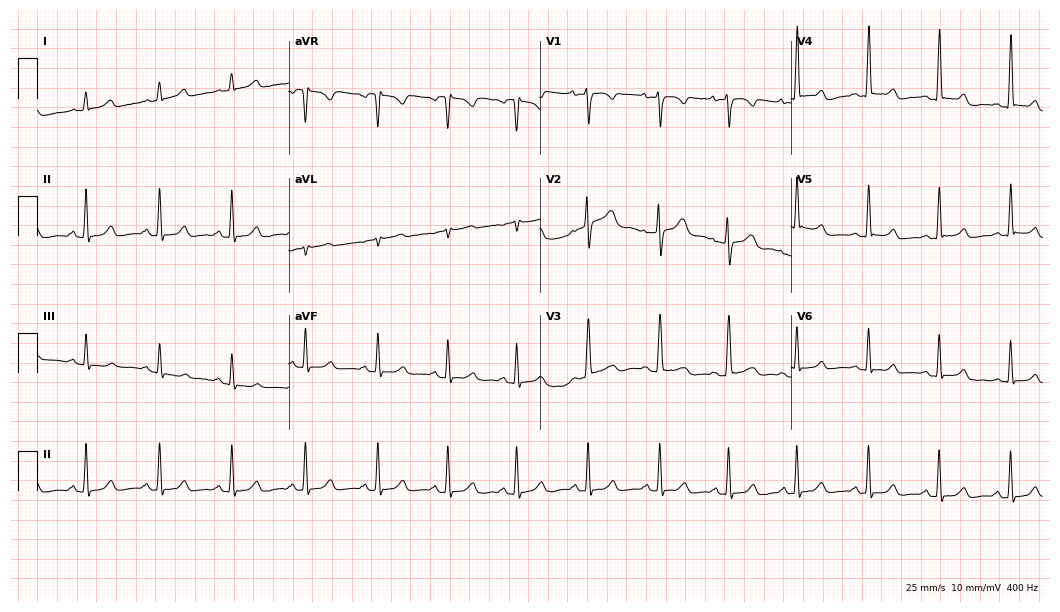
Electrocardiogram, a female, 23 years old. Overall reading on record: normal ECG.